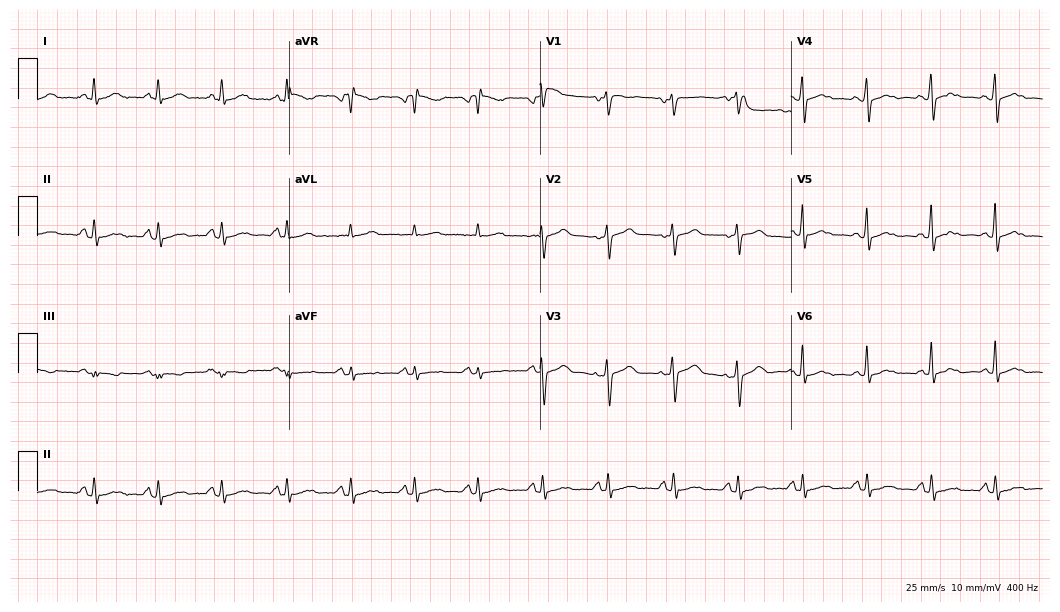
12-lead ECG from a 56-year-old female patient. Recorded interpretation: within normal limits.